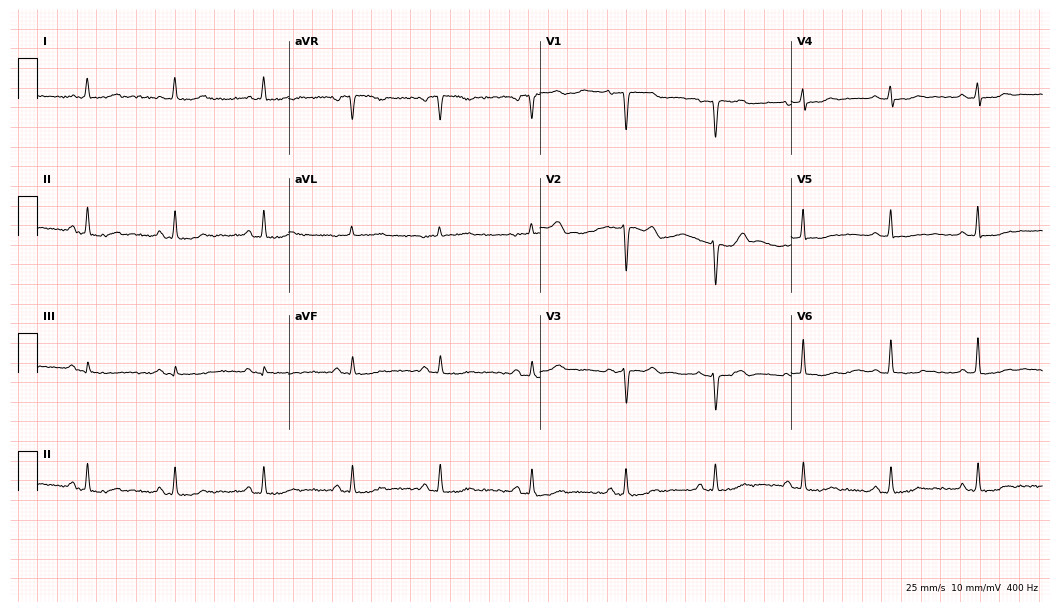
12-lead ECG from a 53-year-old female patient (10.2-second recording at 400 Hz). No first-degree AV block, right bundle branch block (RBBB), left bundle branch block (LBBB), sinus bradycardia, atrial fibrillation (AF) or sinus tachycardia recorded for this tracing. Findings outside these six are not listed.